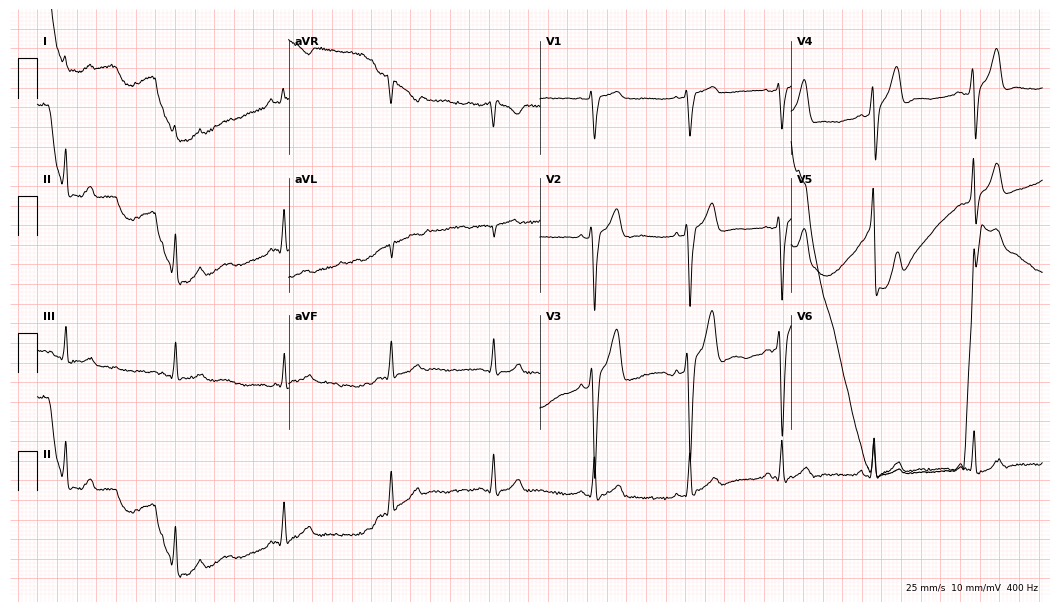
Electrocardiogram, a man, 36 years old. Of the six screened findings (first-degree AV block, right bundle branch block, left bundle branch block, sinus bradycardia, atrial fibrillation, sinus tachycardia), none is recorded. Findings outside these six are not listed.